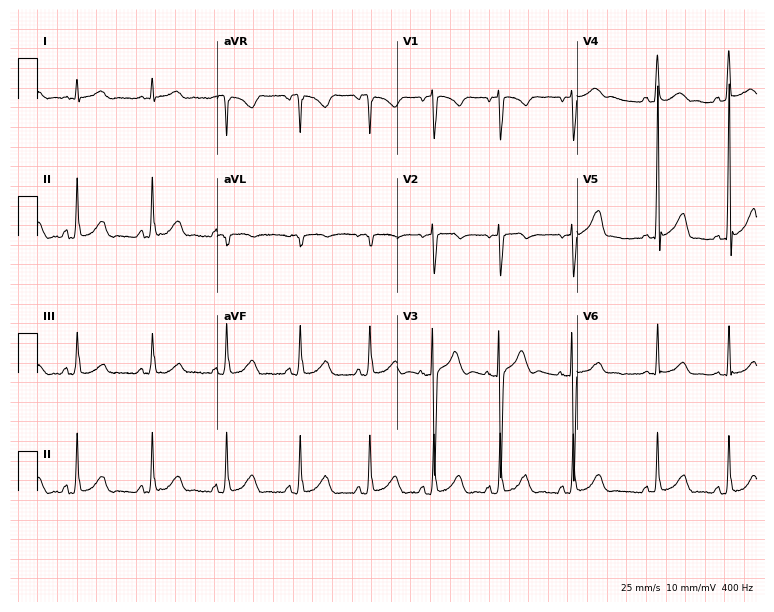
12-lead ECG from a man, 17 years old (7.3-second recording at 400 Hz). No first-degree AV block, right bundle branch block (RBBB), left bundle branch block (LBBB), sinus bradycardia, atrial fibrillation (AF) or sinus tachycardia recorded for this tracing.